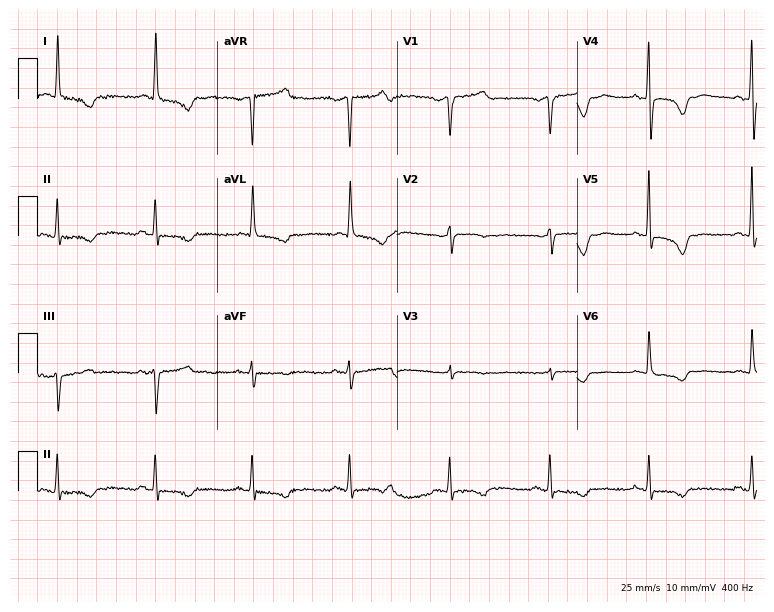
12-lead ECG from a 77-year-old female patient. Screened for six findings — first-degree AV block, right bundle branch block, left bundle branch block, sinus bradycardia, atrial fibrillation, sinus tachycardia — none is recorded. Findings outside these six are not listed.